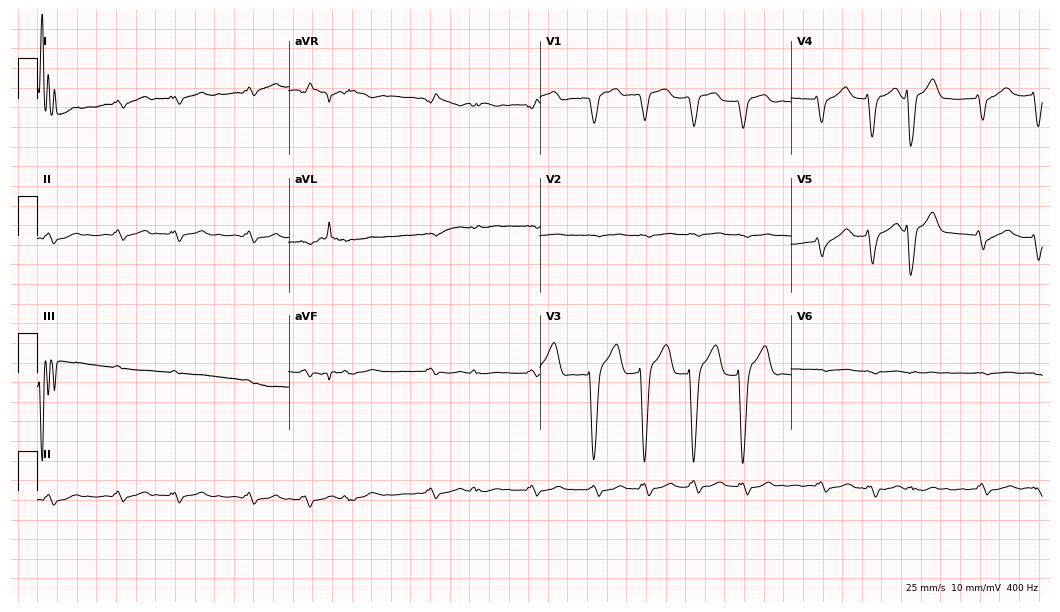
12-lead ECG (10.2-second recording at 400 Hz) from a 73-year-old man. Findings include left bundle branch block (LBBB), atrial fibrillation (AF).